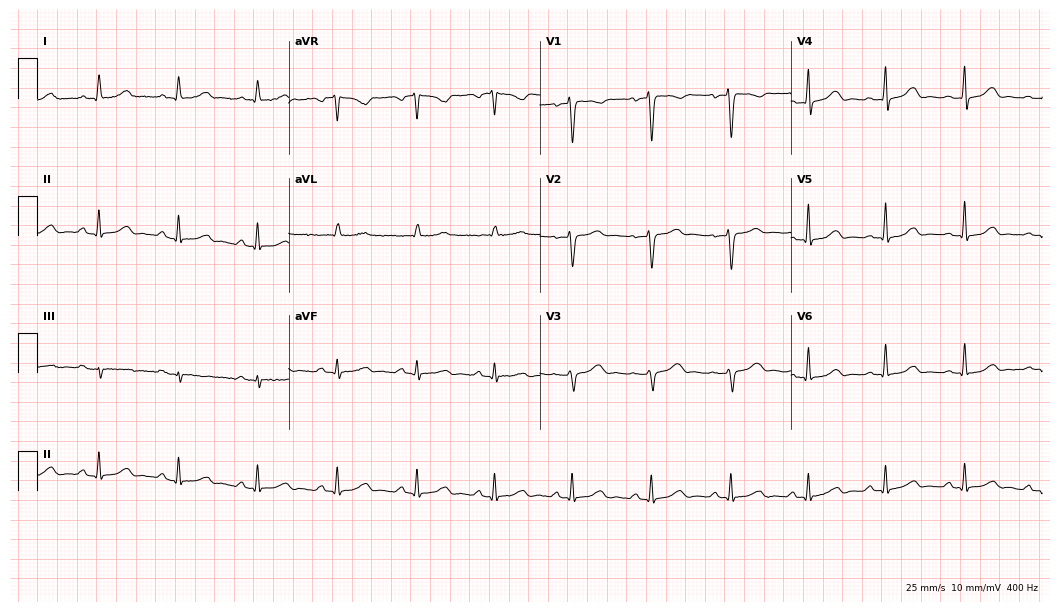
Standard 12-lead ECG recorded from a woman, 44 years old (10.2-second recording at 400 Hz). Read as a normal ECG.